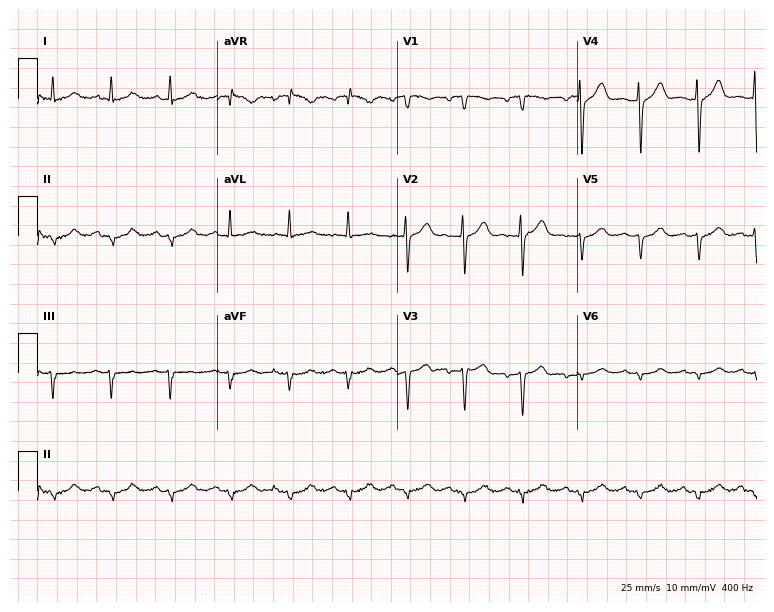
12-lead ECG from a man, 79 years old. Findings include sinus tachycardia (a sinus rate of 100 beats per minute or more).